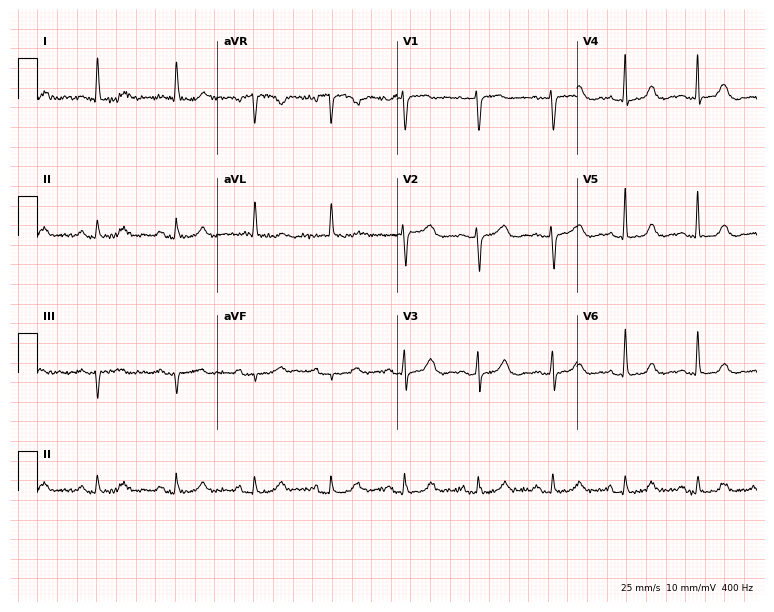
Electrocardiogram, a 76-year-old female. Overall reading on record: normal ECG.